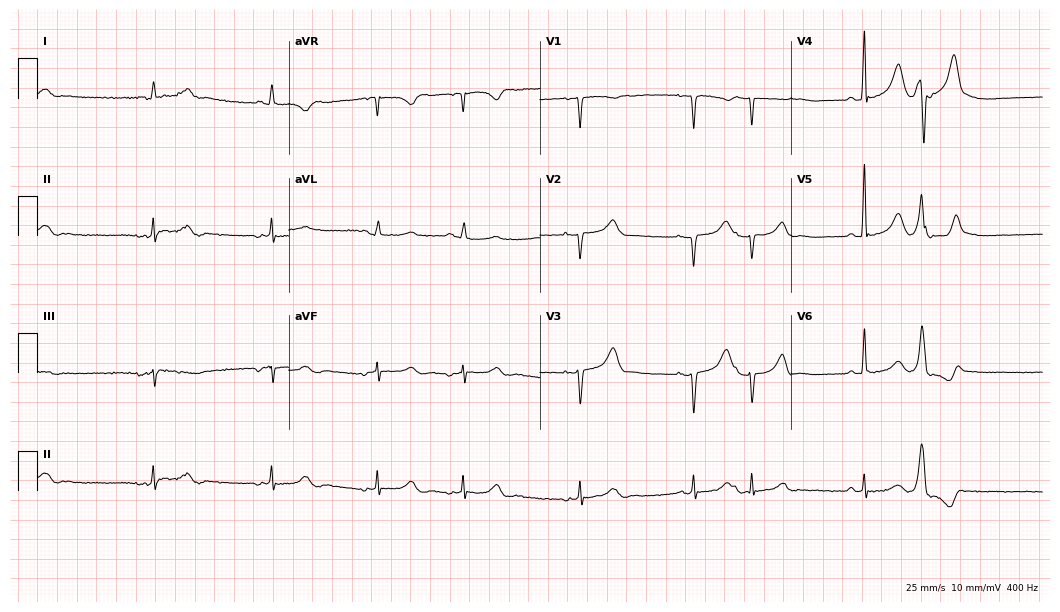
Resting 12-lead electrocardiogram (10.2-second recording at 400 Hz). Patient: a female, 42 years old. Read as a normal ECG.